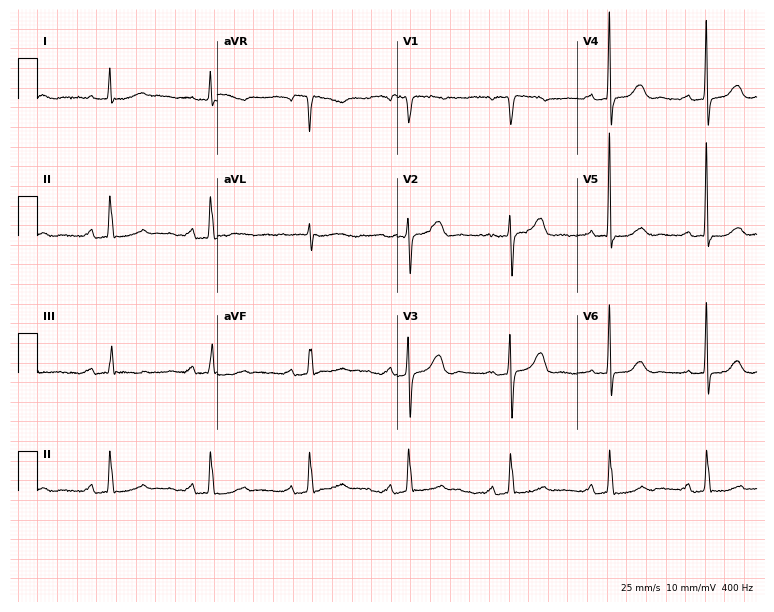
12-lead ECG (7.3-second recording at 400 Hz) from a 75-year-old female patient. Findings include first-degree AV block.